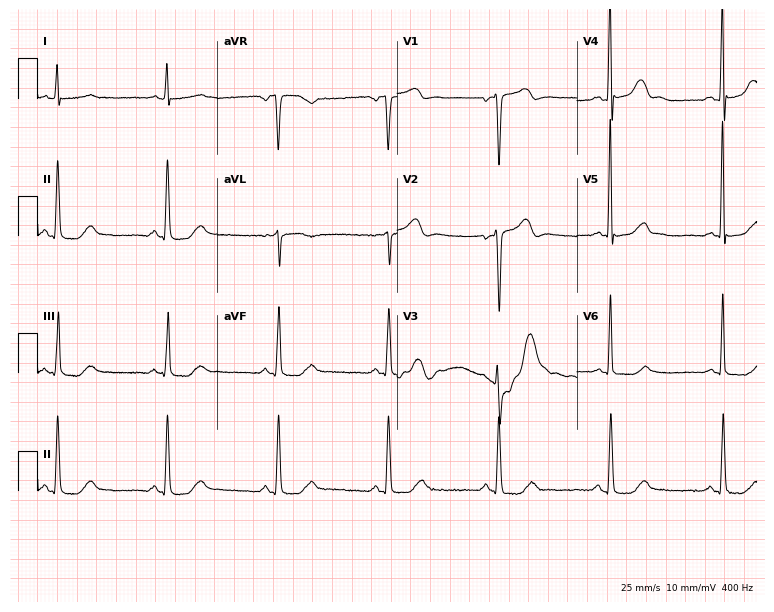
Standard 12-lead ECG recorded from an 83-year-old man. Read as a normal ECG.